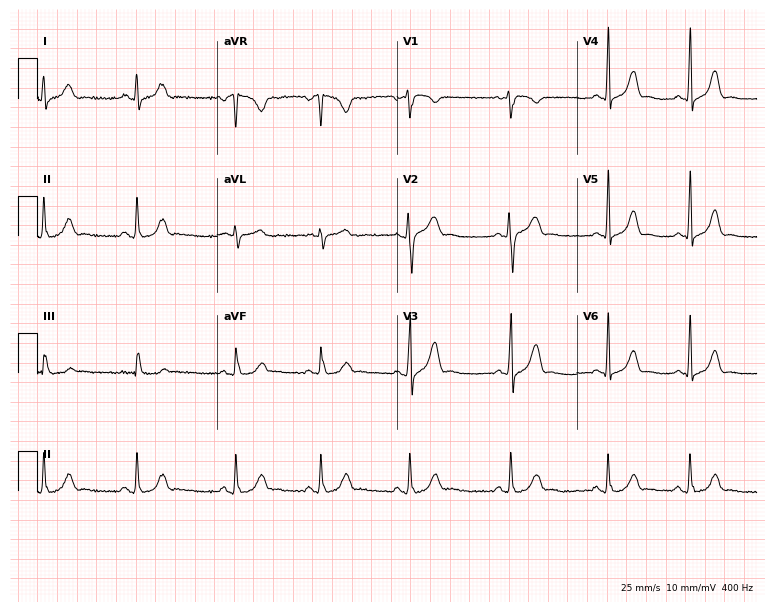
Standard 12-lead ECG recorded from a female, 24 years old (7.3-second recording at 400 Hz). None of these six findings is recorded: first-degree AV block, right bundle branch block, left bundle branch block, sinus bradycardia, atrial fibrillation, sinus tachycardia. Findings outside these six are not listed.